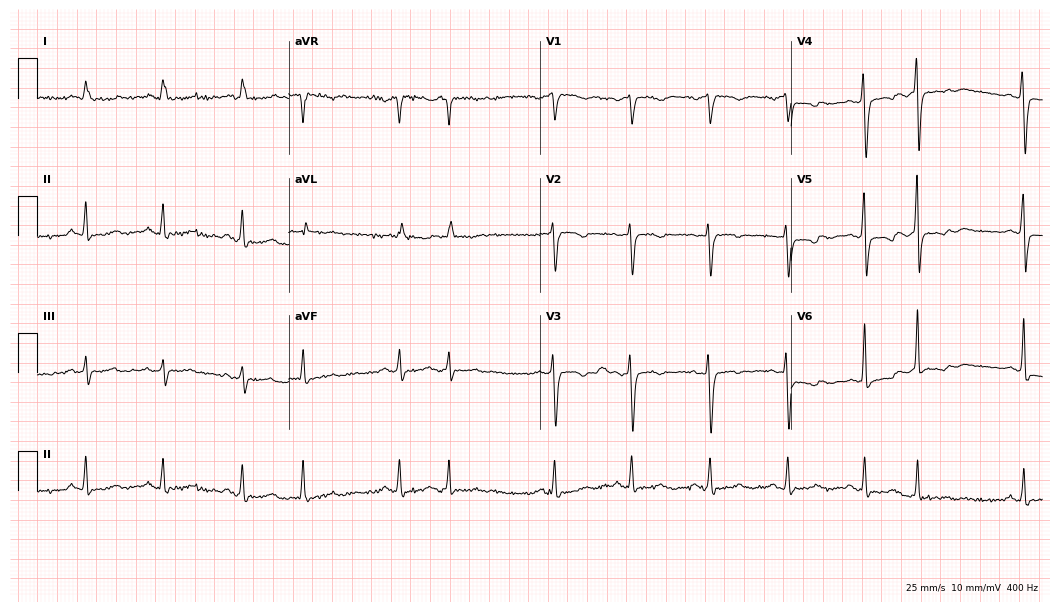
12-lead ECG (10.2-second recording at 400 Hz) from a 69-year-old female patient. Screened for six findings — first-degree AV block, right bundle branch block, left bundle branch block, sinus bradycardia, atrial fibrillation, sinus tachycardia — none is recorded. Only these six findings were labelled.